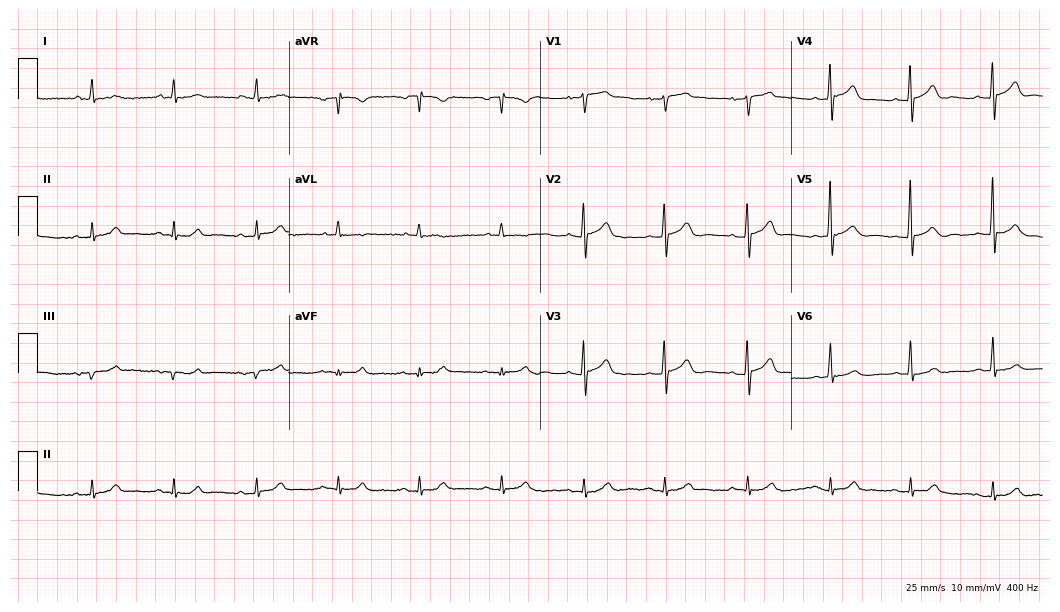
12-lead ECG (10.2-second recording at 400 Hz) from a male, 81 years old. Labelled as a normal ECG.